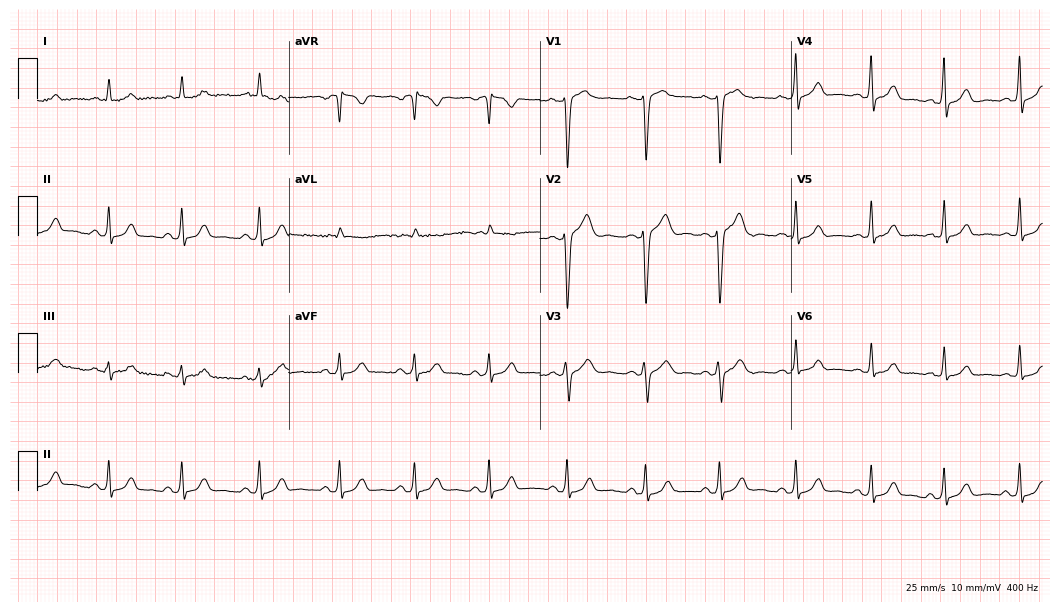
12-lead ECG from a 41-year-old female (10.2-second recording at 400 Hz). Recorded interpretation: within normal limits.